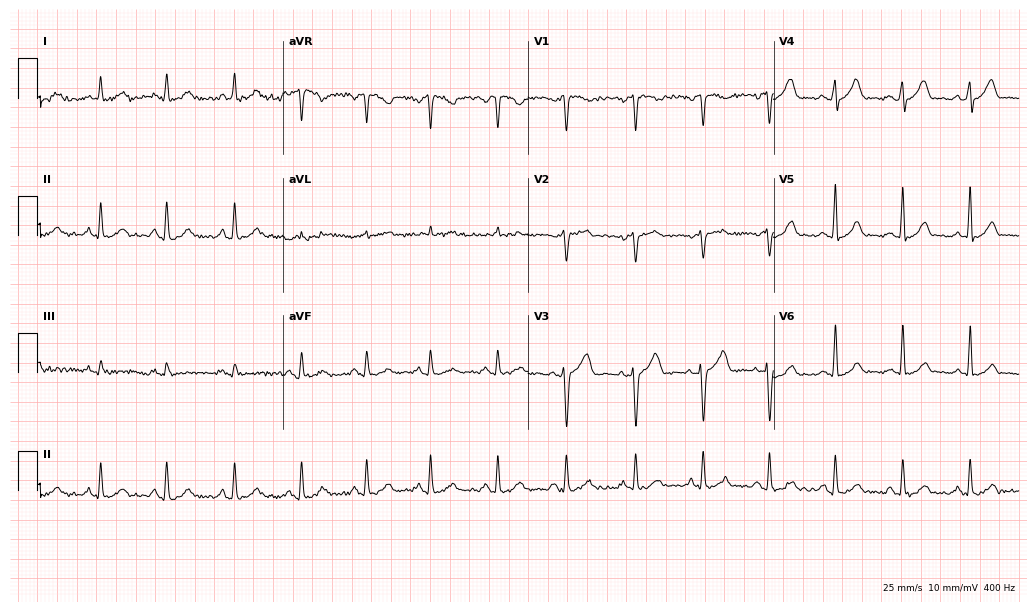
12-lead ECG (10-second recording at 400 Hz) from a woman, 38 years old. Labelled as a normal ECG.